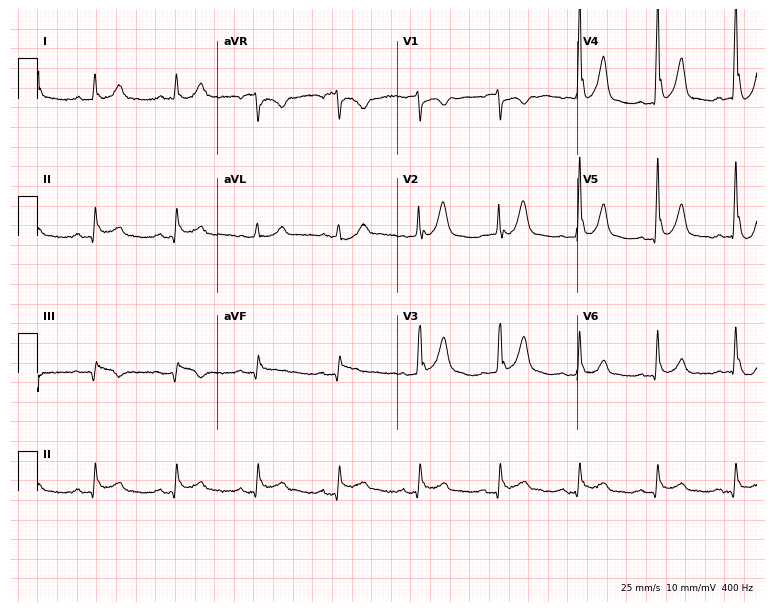
Resting 12-lead electrocardiogram (7.3-second recording at 400 Hz). Patient: a 63-year-old male. None of these six findings is recorded: first-degree AV block, right bundle branch block, left bundle branch block, sinus bradycardia, atrial fibrillation, sinus tachycardia.